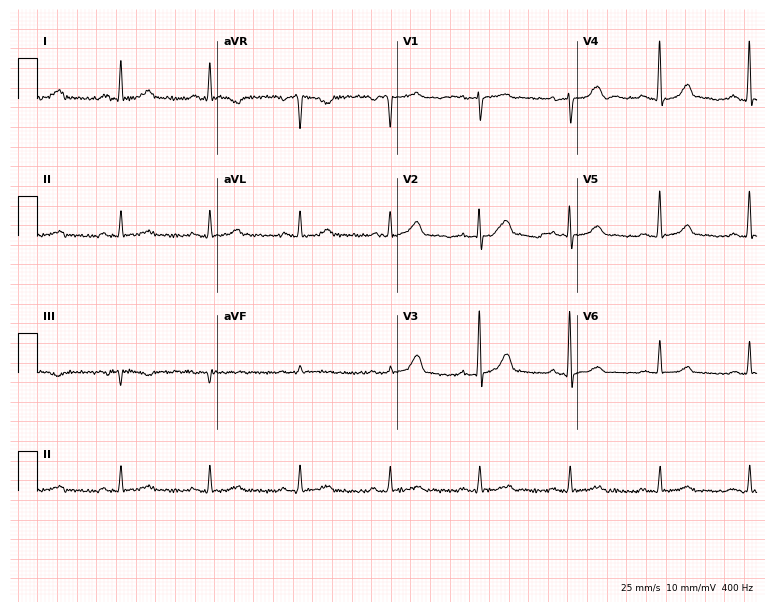
Electrocardiogram (7.3-second recording at 400 Hz), a male patient, 61 years old. Overall reading on record: normal ECG.